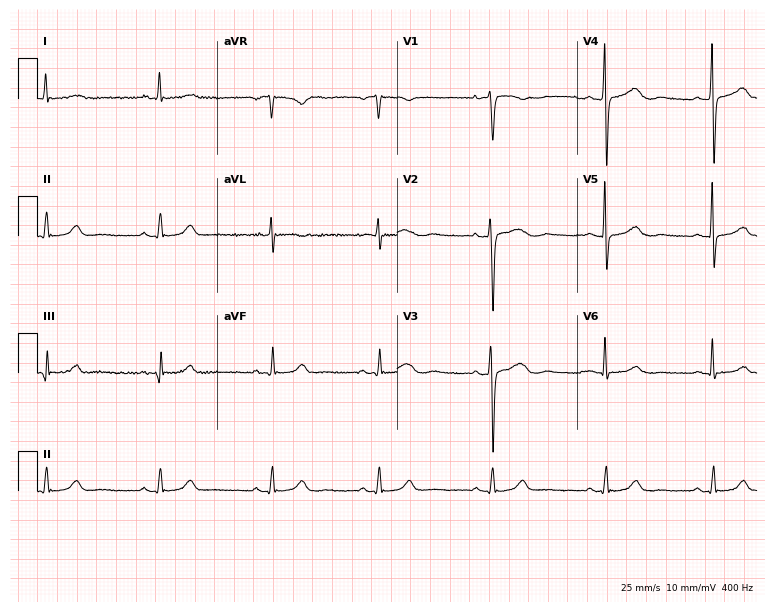
Electrocardiogram (7.3-second recording at 400 Hz), a 52-year-old female patient. Of the six screened findings (first-degree AV block, right bundle branch block, left bundle branch block, sinus bradycardia, atrial fibrillation, sinus tachycardia), none is recorded. Only these six findings were labelled.